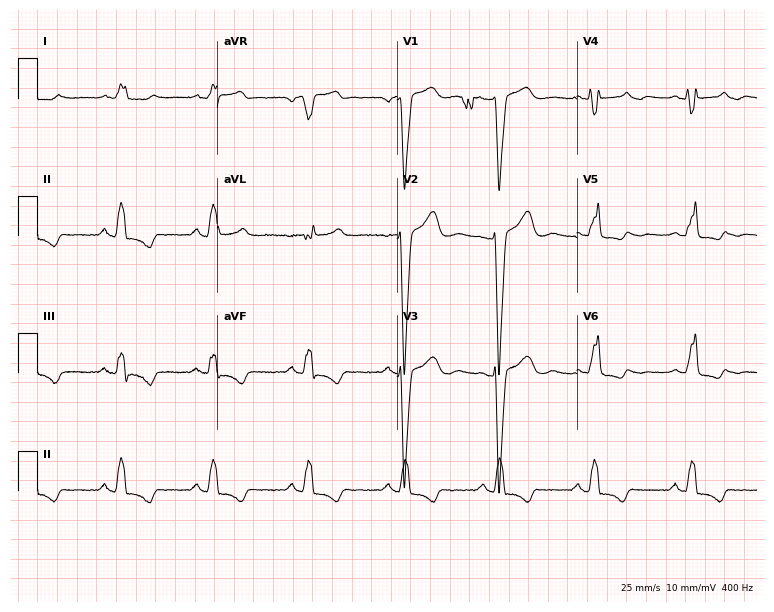
Electrocardiogram, a woman, 53 years old. Interpretation includes left bundle branch block.